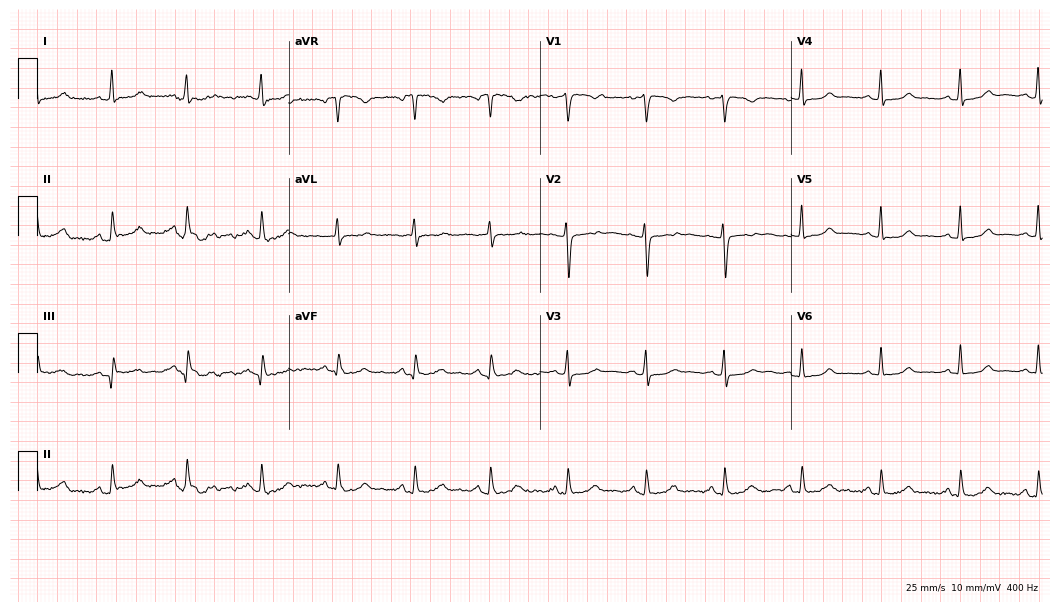
12-lead ECG from a 34-year-old female. Screened for six findings — first-degree AV block, right bundle branch block, left bundle branch block, sinus bradycardia, atrial fibrillation, sinus tachycardia — none is recorded. Other findings, if any, are not listed.